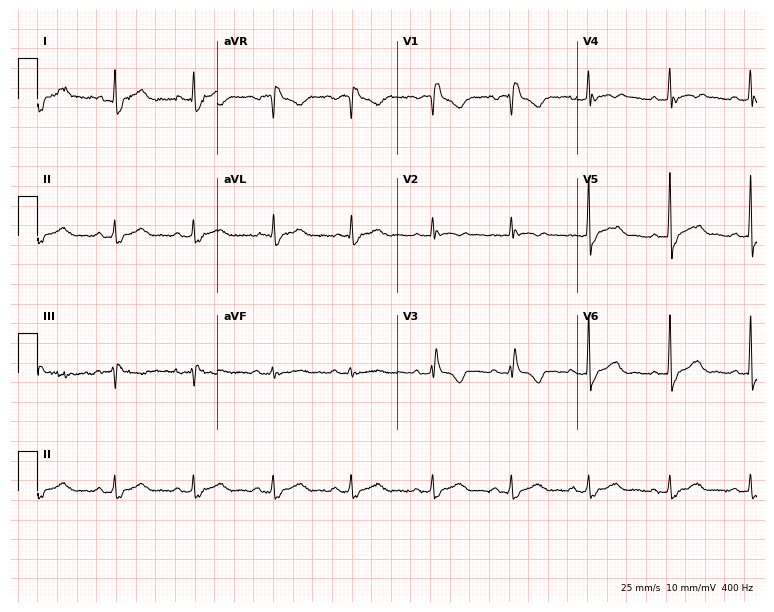
Standard 12-lead ECG recorded from a 50-year-old woman (7.3-second recording at 400 Hz). The tracing shows right bundle branch block.